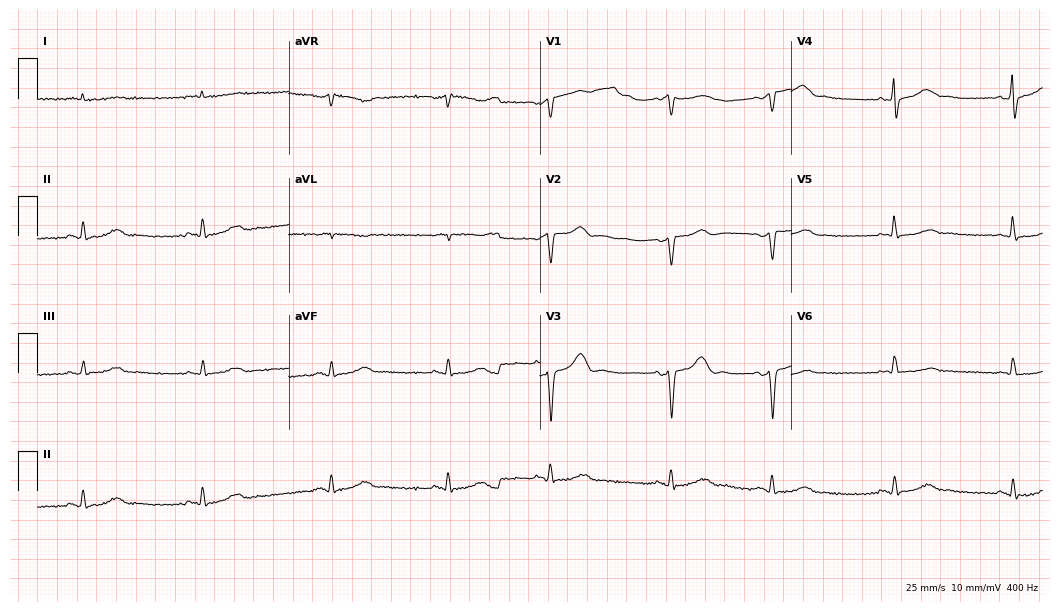
Standard 12-lead ECG recorded from a 72-year-old woman (10.2-second recording at 400 Hz). None of these six findings is recorded: first-degree AV block, right bundle branch block (RBBB), left bundle branch block (LBBB), sinus bradycardia, atrial fibrillation (AF), sinus tachycardia. Other findings, if any, are not listed.